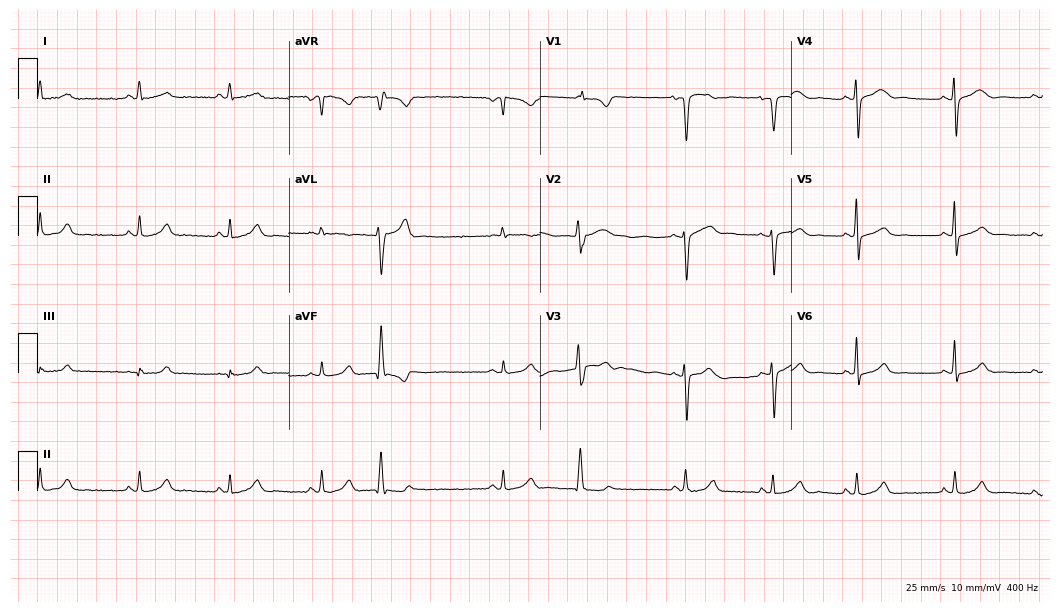
ECG — a female, 36 years old. Screened for six findings — first-degree AV block, right bundle branch block, left bundle branch block, sinus bradycardia, atrial fibrillation, sinus tachycardia — none is recorded. Only these six findings were labelled.